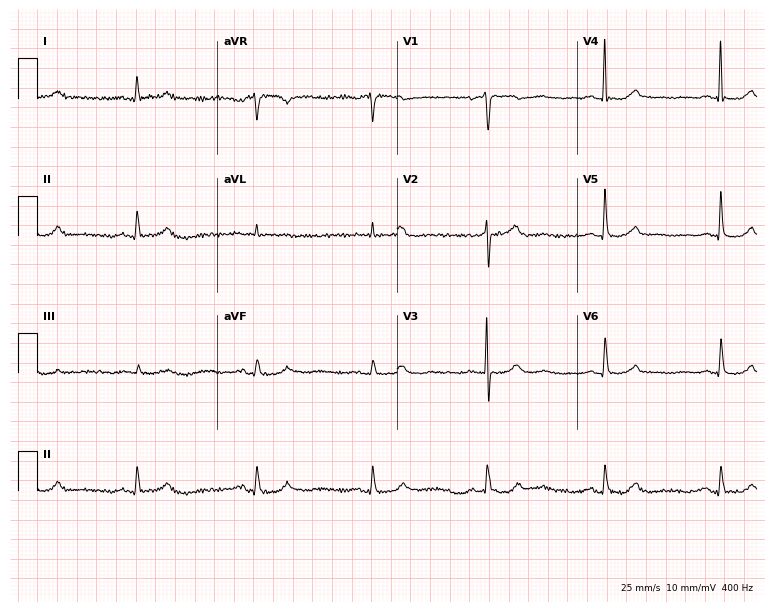
Resting 12-lead electrocardiogram (7.3-second recording at 400 Hz). Patient: a male, 78 years old. The tracing shows sinus bradycardia (a sinus rate of 50 beats per minute or less).